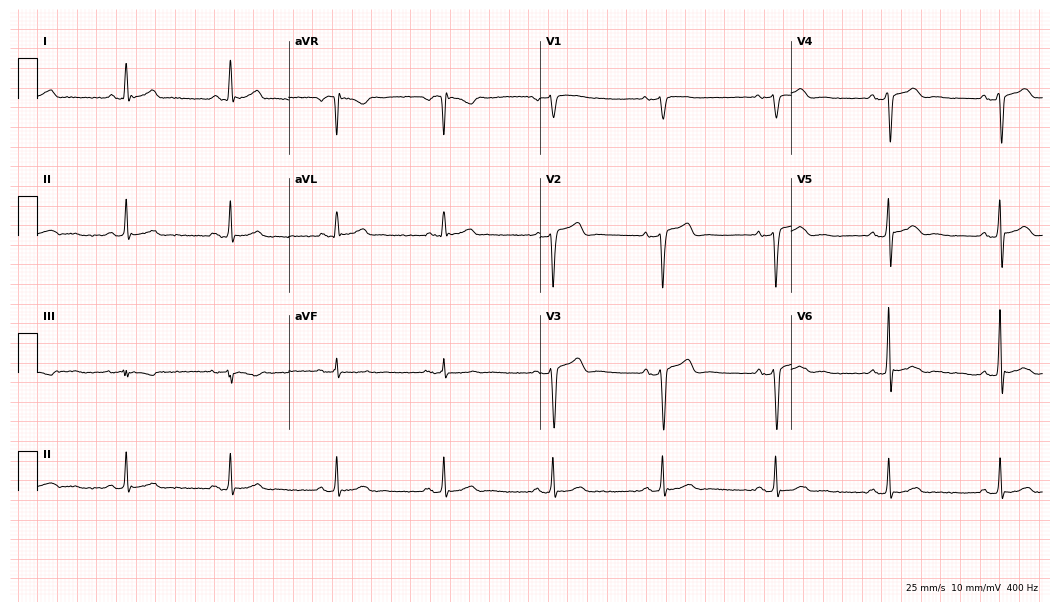
ECG — a man, 60 years old. Labelled as a normal ECG.